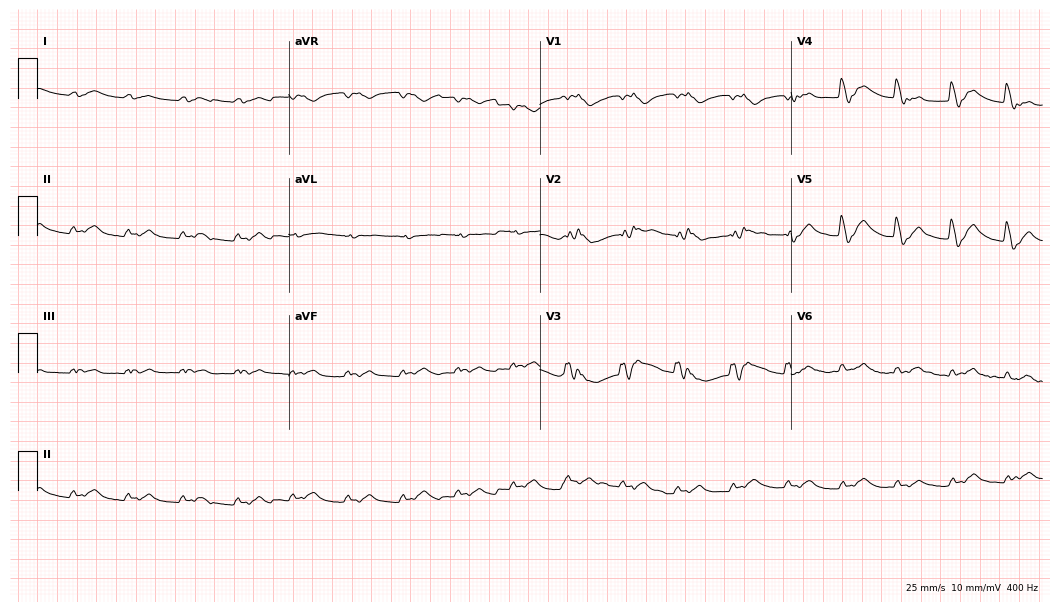
12-lead ECG (10.2-second recording at 400 Hz) from a 59-year-old male. Findings include right bundle branch block (RBBB).